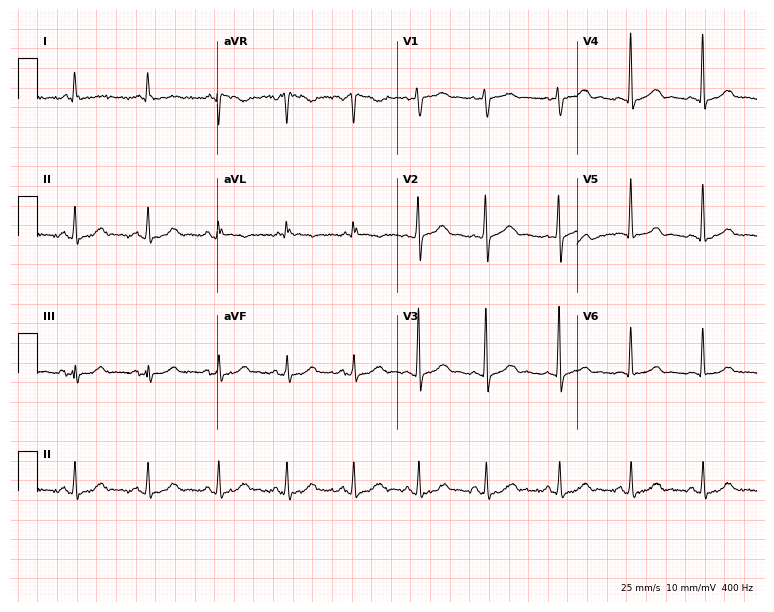
12-lead ECG (7.3-second recording at 400 Hz) from a female patient, 72 years old. Screened for six findings — first-degree AV block, right bundle branch block, left bundle branch block, sinus bradycardia, atrial fibrillation, sinus tachycardia — none is recorded.